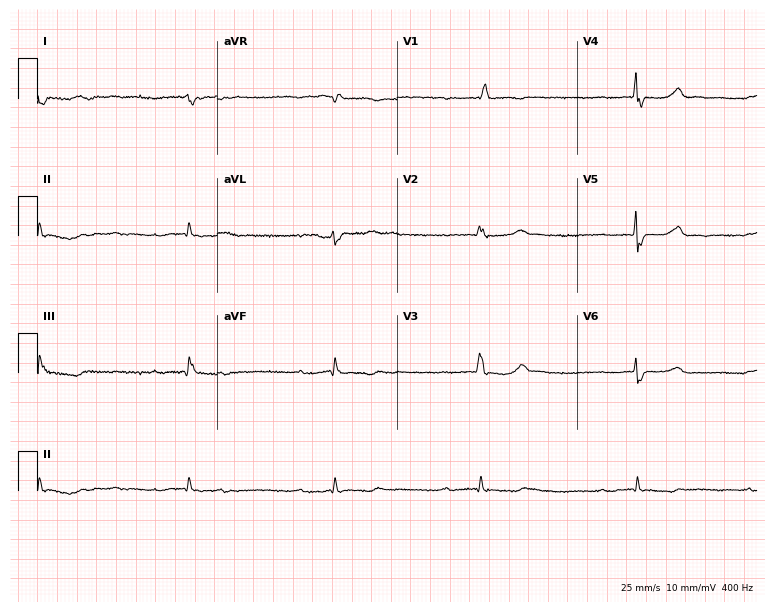
Electrocardiogram, a female patient, 67 years old. Of the six screened findings (first-degree AV block, right bundle branch block (RBBB), left bundle branch block (LBBB), sinus bradycardia, atrial fibrillation (AF), sinus tachycardia), none is recorded.